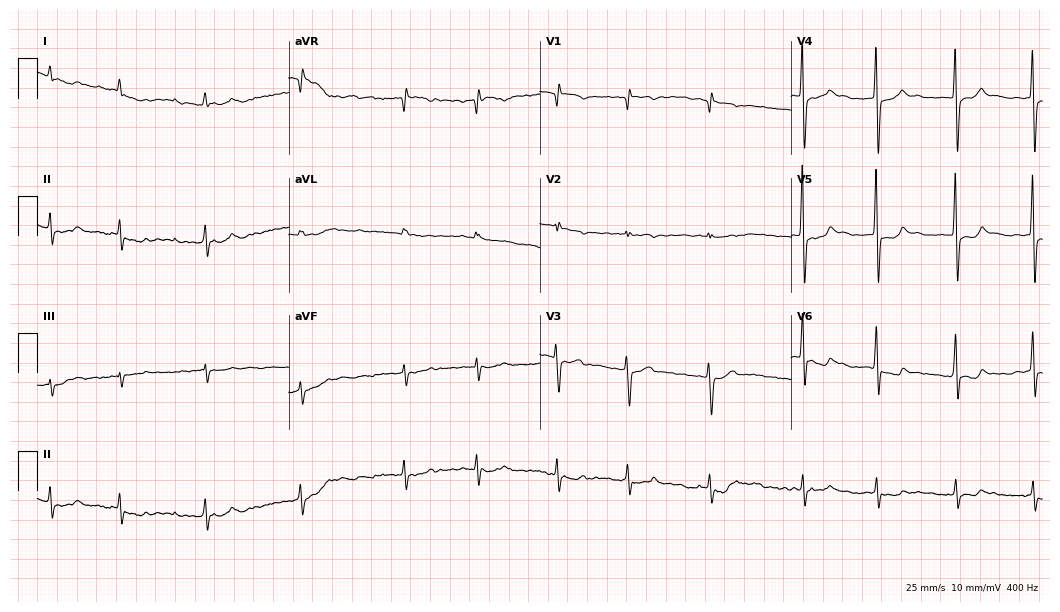
Standard 12-lead ECG recorded from a 77-year-old female patient. None of these six findings is recorded: first-degree AV block, right bundle branch block, left bundle branch block, sinus bradycardia, atrial fibrillation, sinus tachycardia.